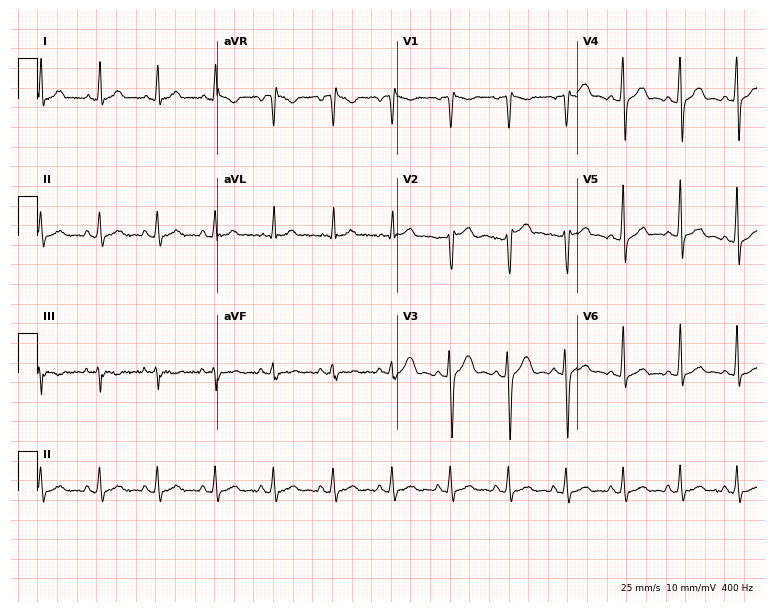
12-lead ECG from a 23-year-old man (7.3-second recording at 400 Hz). Recorded interpretation: within normal limits.